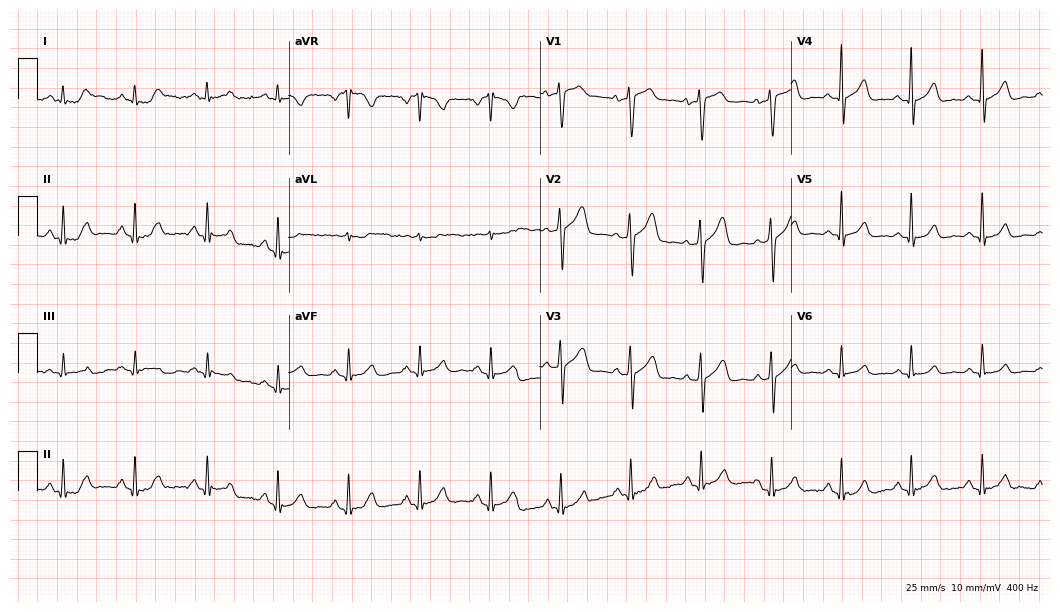
Standard 12-lead ECG recorded from a female patient, 59 years old. Read as a normal ECG.